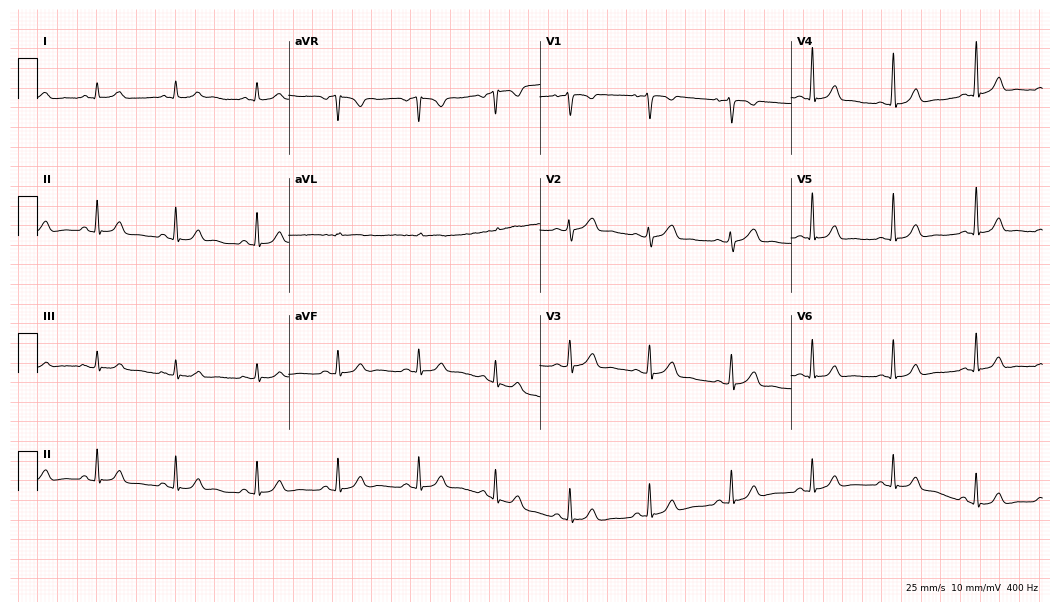
12-lead ECG from a woman, 27 years old (10.2-second recording at 400 Hz). Recorded interpretation: within normal limits.